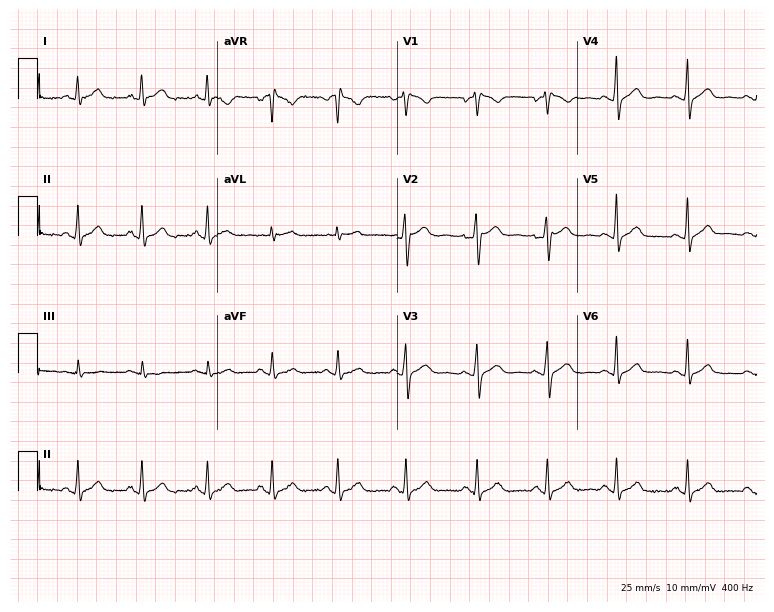
ECG (7.3-second recording at 400 Hz) — a 43-year-old male patient. Screened for six findings — first-degree AV block, right bundle branch block (RBBB), left bundle branch block (LBBB), sinus bradycardia, atrial fibrillation (AF), sinus tachycardia — none is recorded.